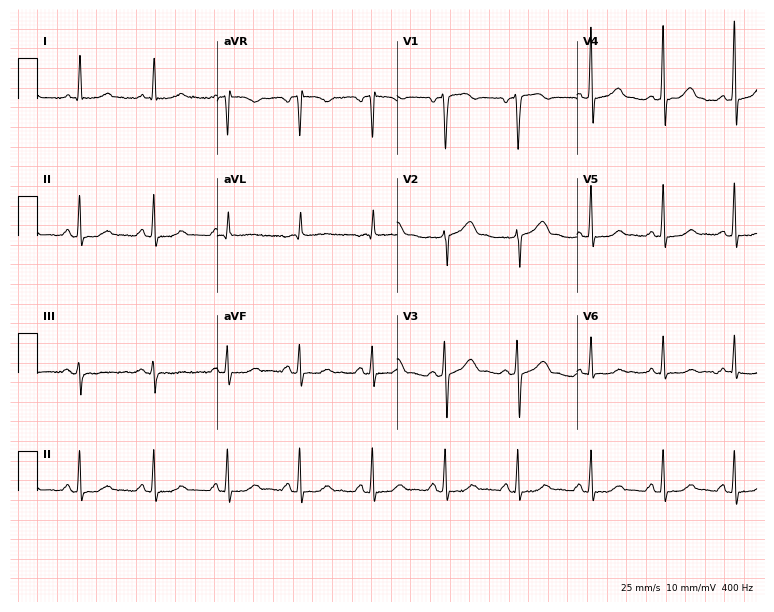
ECG (7.3-second recording at 400 Hz) — a man, 58 years old. Labelled as a normal ECG.